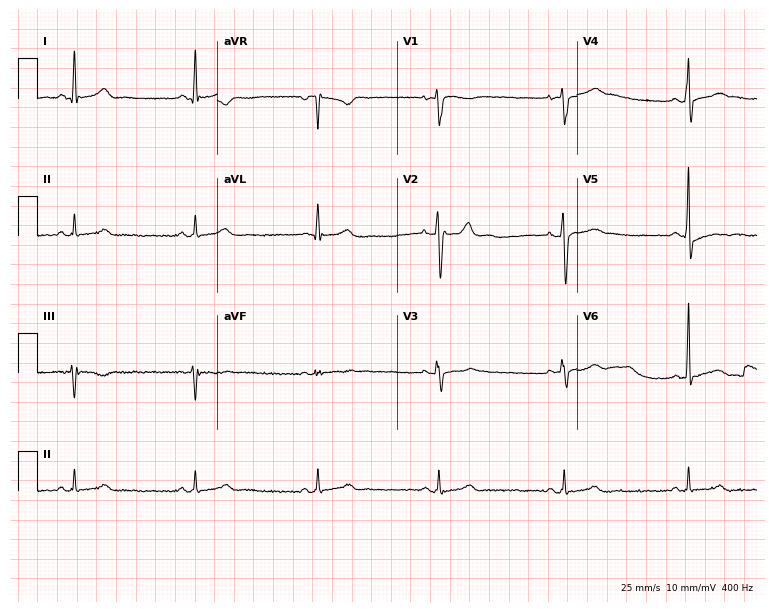
Standard 12-lead ECG recorded from a man, 40 years old. The tracing shows sinus bradycardia (a sinus rate of 50 beats per minute or less).